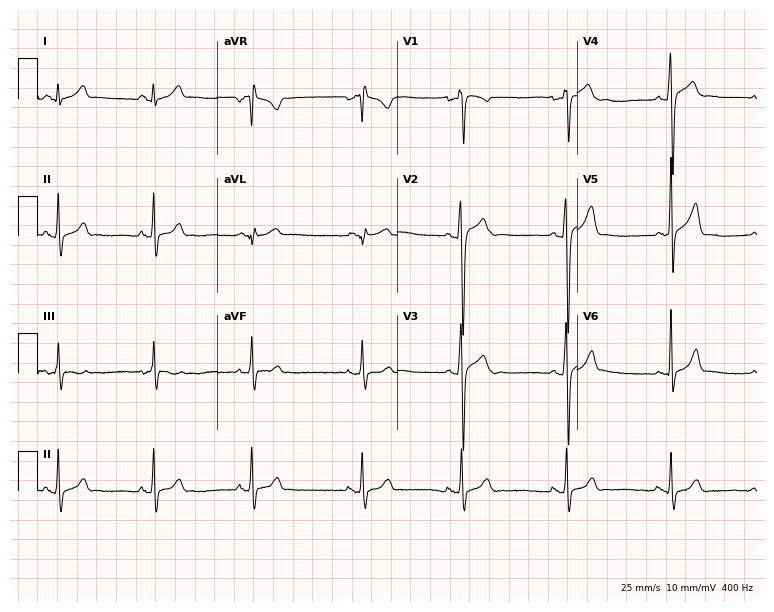
12-lead ECG (7.3-second recording at 400 Hz) from a 17-year-old male patient. Labelled as a normal ECG.